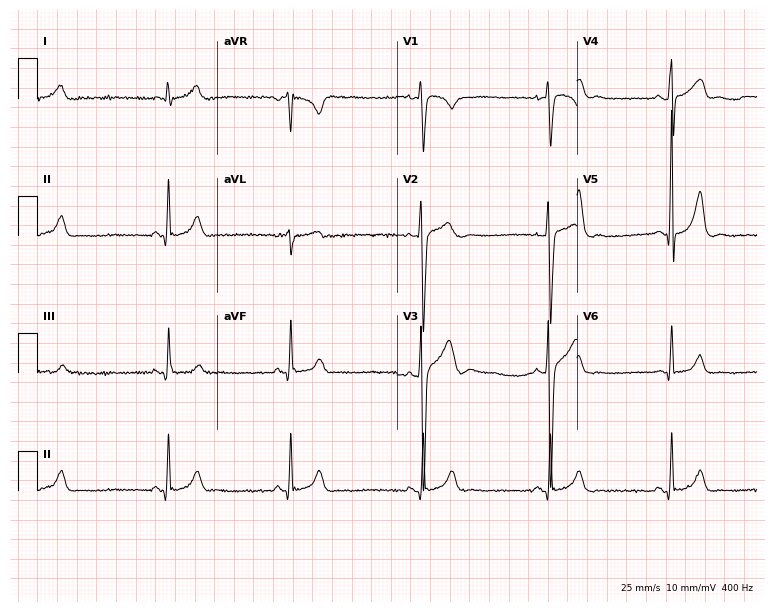
ECG (7.3-second recording at 400 Hz) — a 19-year-old male patient. Findings include sinus bradycardia (a sinus rate of 50 beats per minute or less).